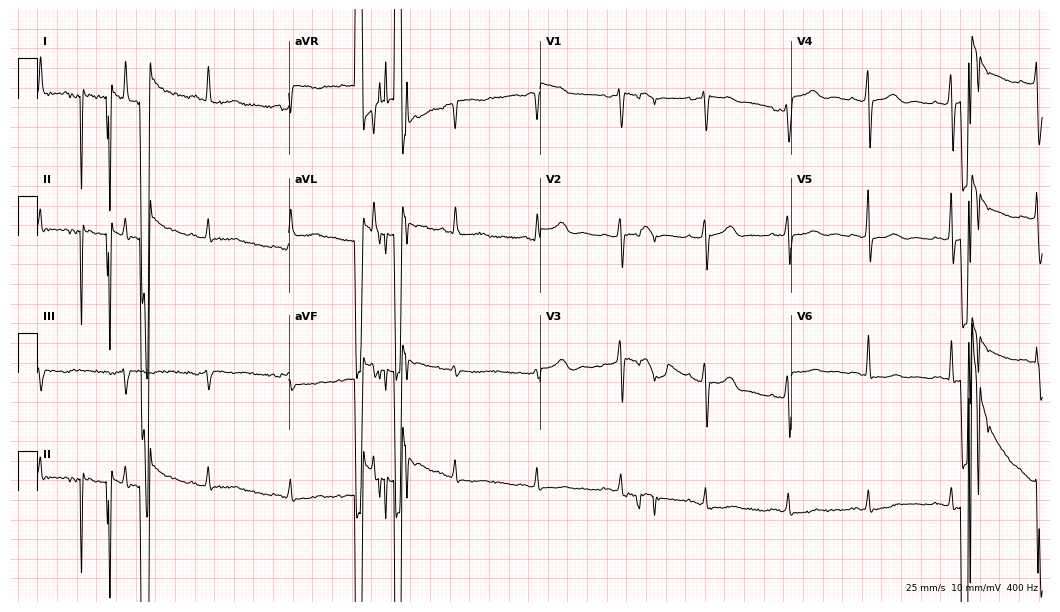
12-lead ECG (10.2-second recording at 400 Hz) from a female patient, 56 years old. Screened for six findings — first-degree AV block, right bundle branch block, left bundle branch block, sinus bradycardia, atrial fibrillation, sinus tachycardia — none is recorded.